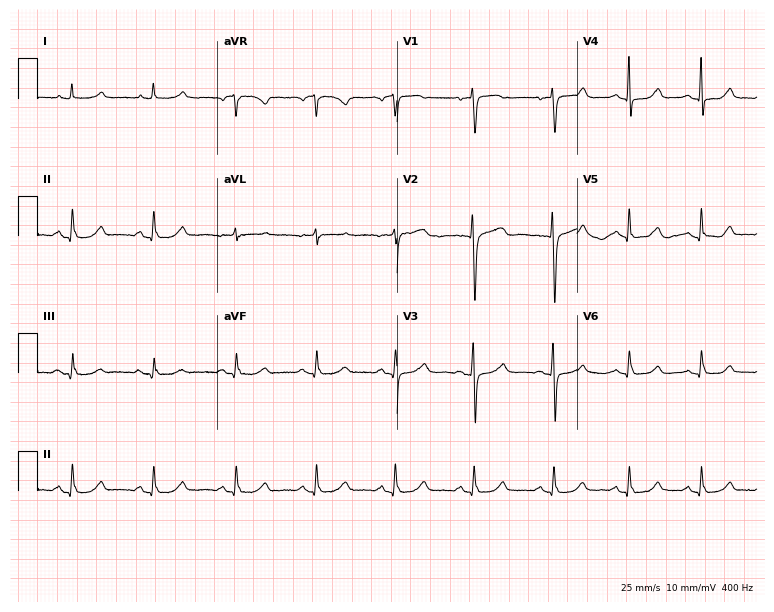
Electrocardiogram (7.3-second recording at 400 Hz), a female patient, 62 years old. Overall reading on record: normal ECG.